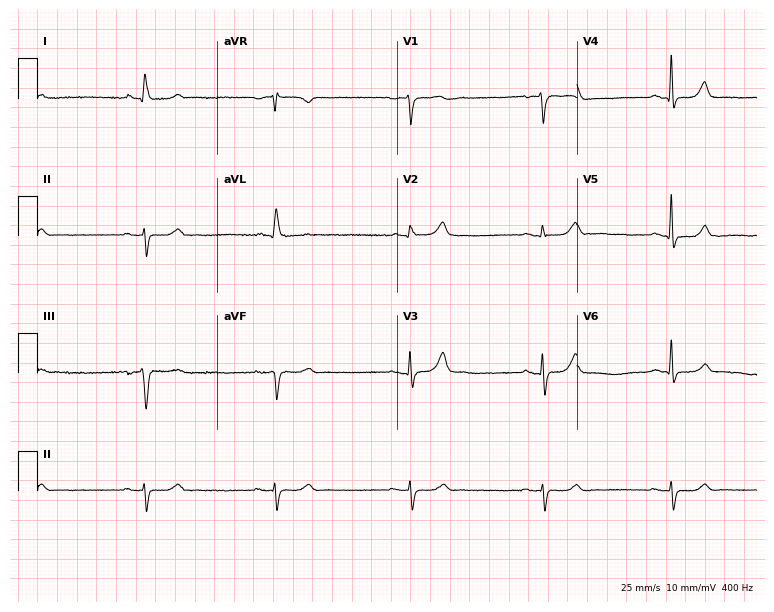
Standard 12-lead ECG recorded from an 86-year-old male patient. None of these six findings is recorded: first-degree AV block, right bundle branch block, left bundle branch block, sinus bradycardia, atrial fibrillation, sinus tachycardia.